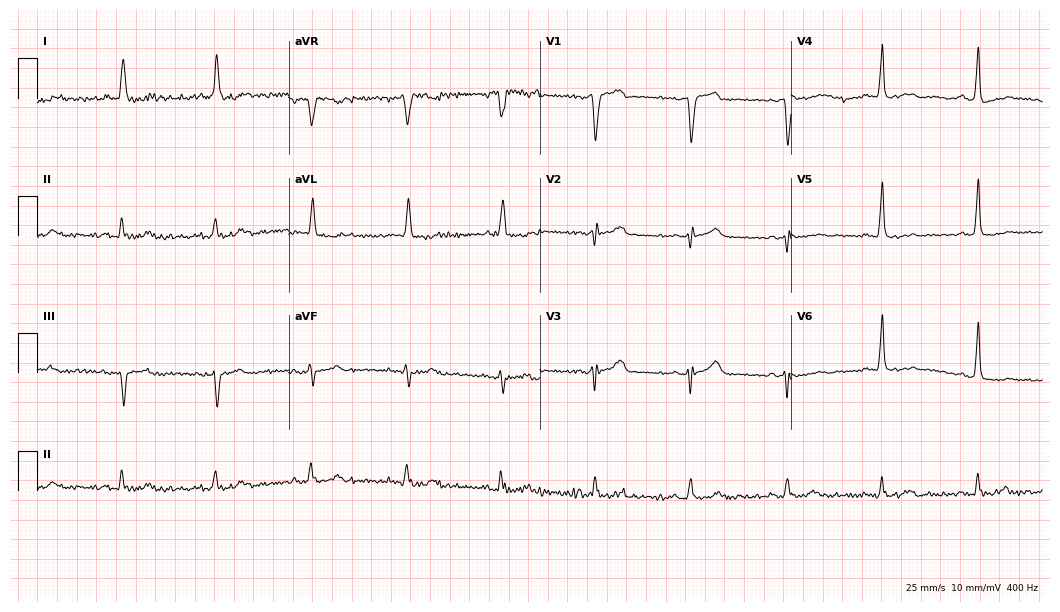
Standard 12-lead ECG recorded from a man, 66 years old (10.2-second recording at 400 Hz). None of these six findings is recorded: first-degree AV block, right bundle branch block, left bundle branch block, sinus bradycardia, atrial fibrillation, sinus tachycardia.